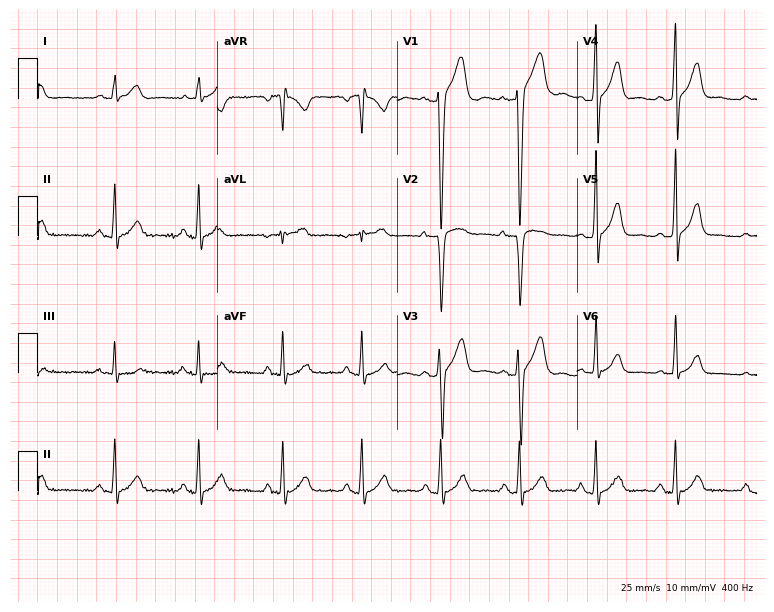
Resting 12-lead electrocardiogram (7.3-second recording at 400 Hz). Patient: a male, 22 years old. None of these six findings is recorded: first-degree AV block, right bundle branch block (RBBB), left bundle branch block (LBBB), sinus bradycardia, atrial fibrillation (AF), sinus tachycardia.